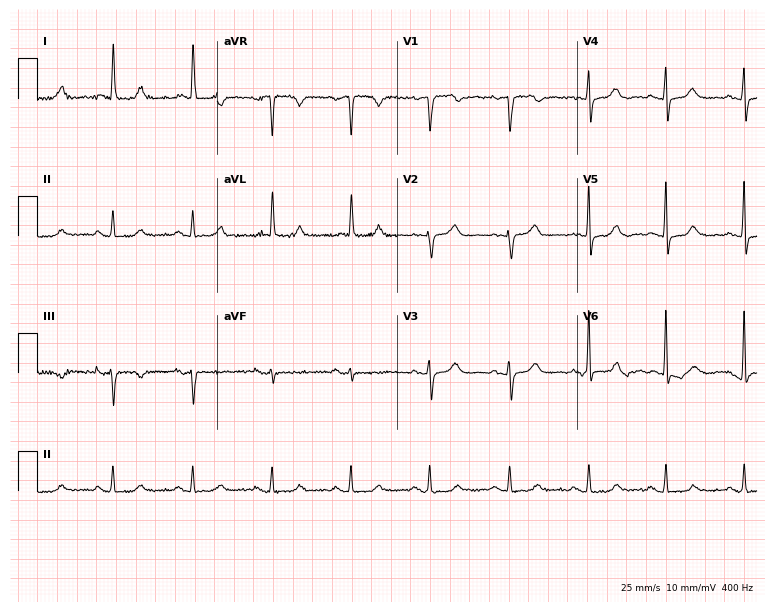
ECG (7.3-second recording at 400 Hz) — an 81-year-old female. Labelled as a normal ECG.